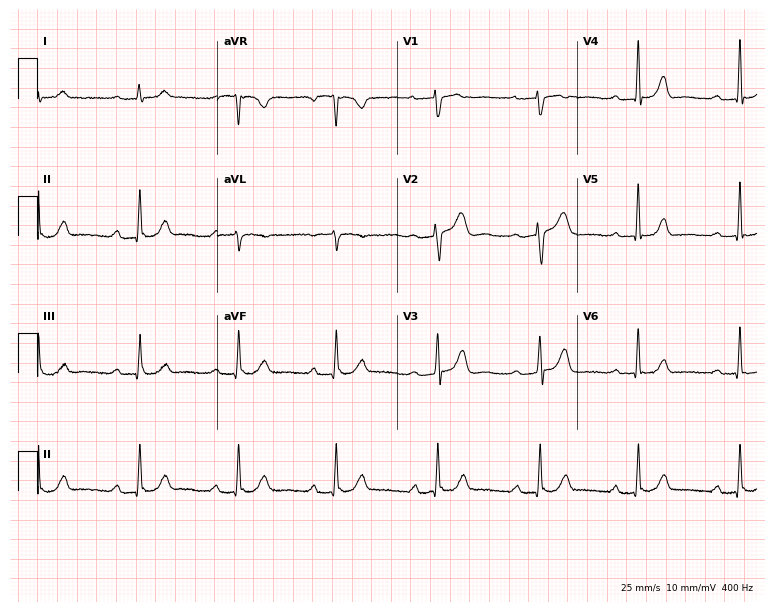
ECG (7.3-second recording at 400 Hz) — a female patient, 47 years old. Screened for six findings — first-degree AV block, right bundle branch block, left bundle branch block, sinus bradycardia, atrial fibrillation, sinus tachycardia — none is recorded.